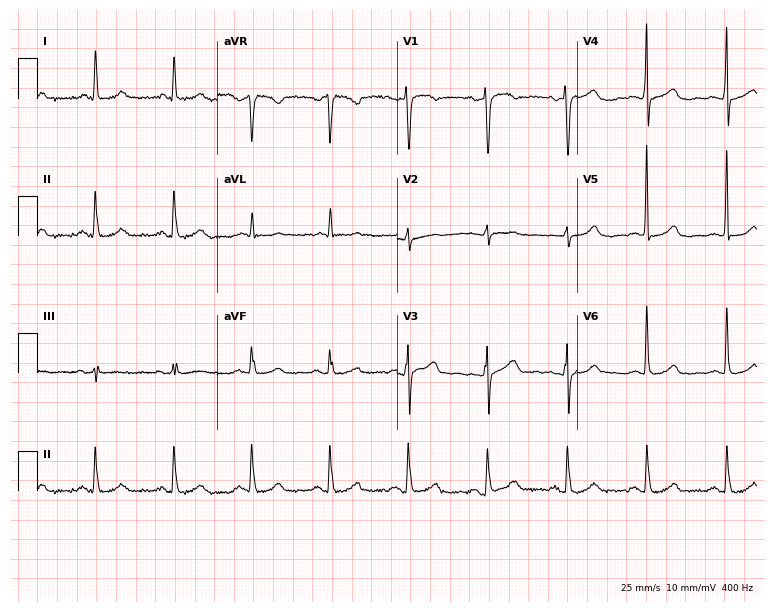
12-lead ECG from a 63-year-old female. Labelled as a normal ECG.